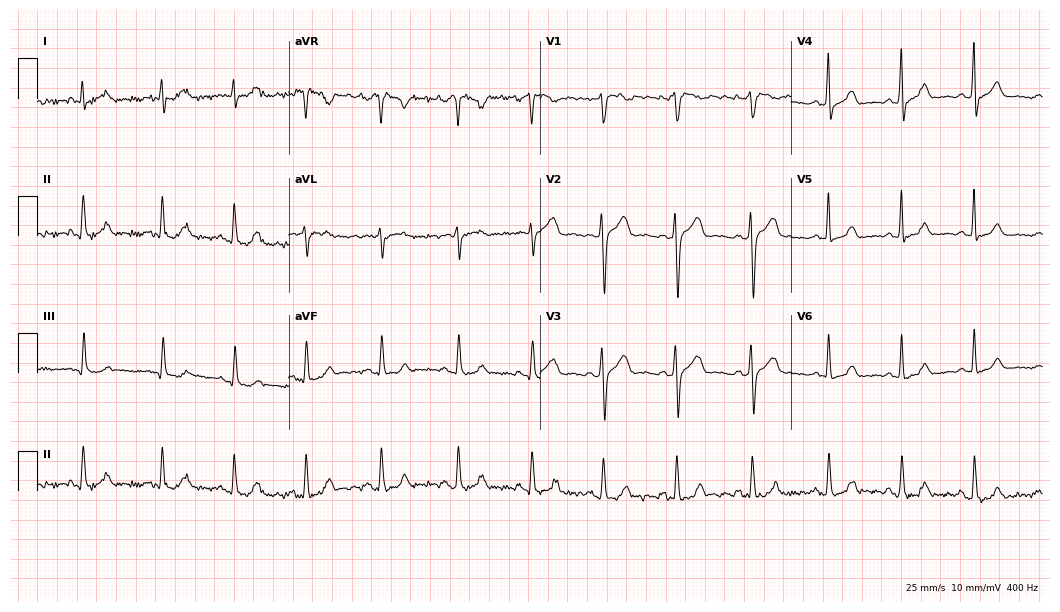
12-lead ECG from a female patient, 34 years old (10.2-second recording at 400 Hz). No first-degree AV block, right bundle branch block (RBBB), left bundle branch block (LBBB), sinus bradycardia, atrial fibrillation (AF) or sinus tachycardia recorded for this tracing.